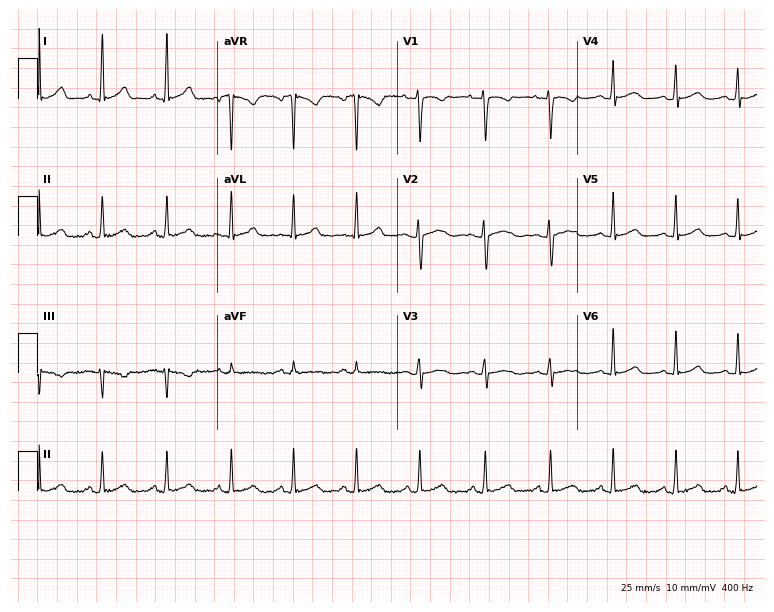
12-lead ECG from a female, 32 years old. Recorded interpretation: within normal limits.